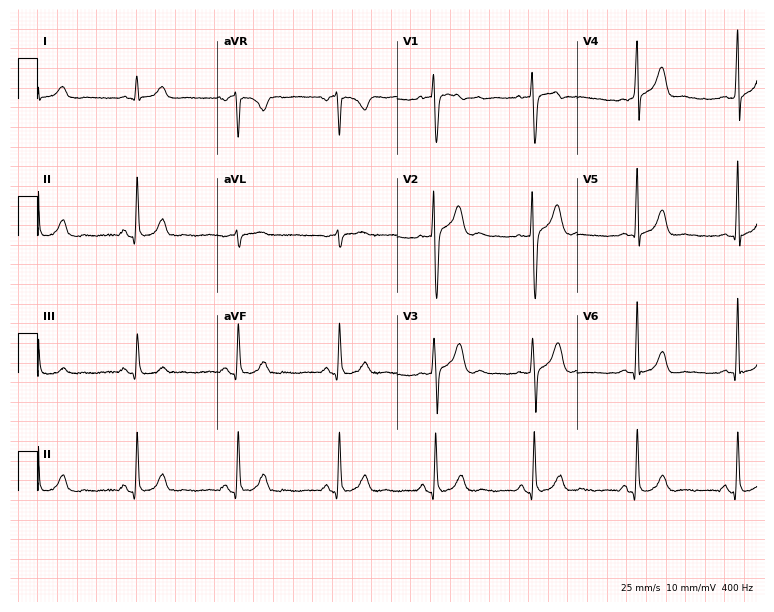
12-lead ECG from a male, 36 years old. No first-degree AV block, right bundle branch block, left bundle branch block, sinus bradycardia, atrial fibrillation or sinus tachycardia recorded for this tracing.